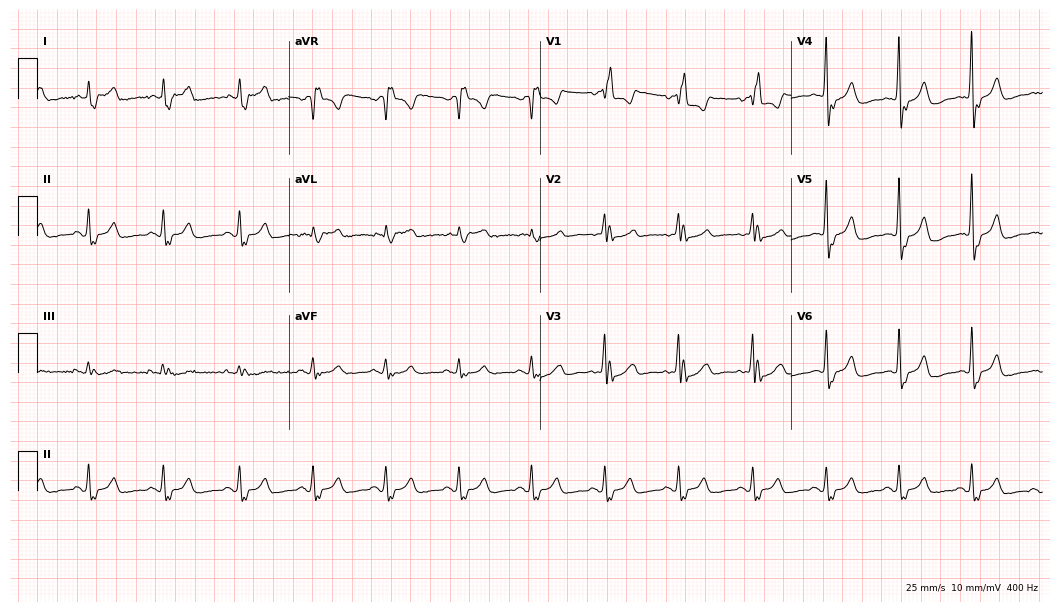
Electrocardiogram (10.2-second recording at 400 Hz), a 77-year-old female patient. Interpretation includes right bundle branch block (RBBB).